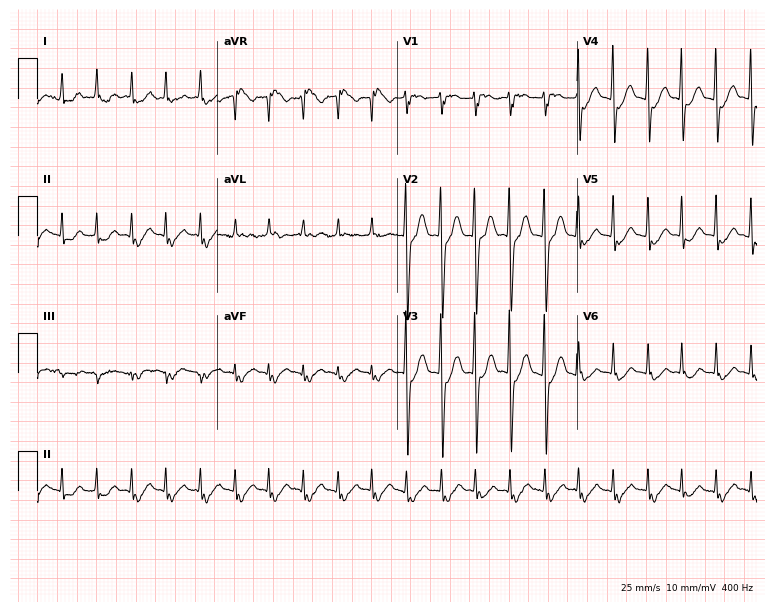
Resting 12-lead electrocardiogram (7.3-second recording at 400 Hz). Patient: a man, 85 years old. The tracing shows sinus tachycardia (a sinus rate of 100 beats per minute or more).